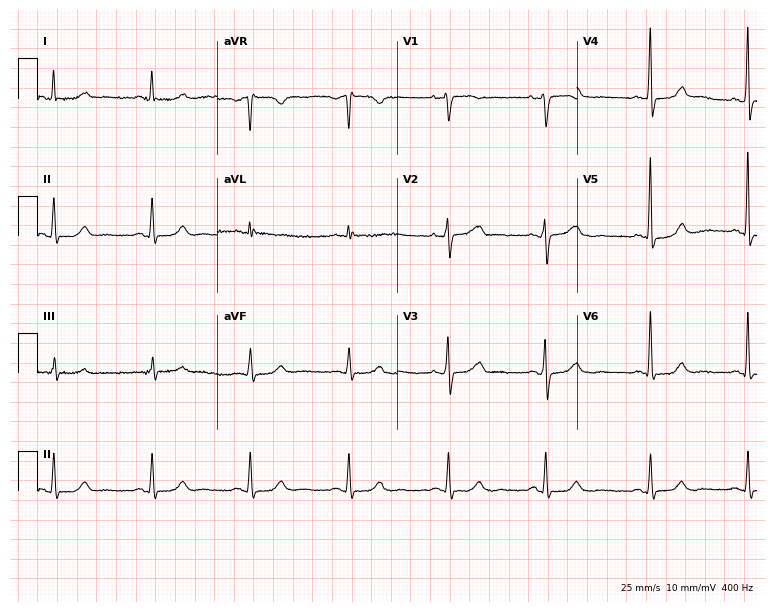
Standard 12-lead ECG recorded from a female, 64 years old (7.3-second recording at 400 Hz). Read as a normal ECG.